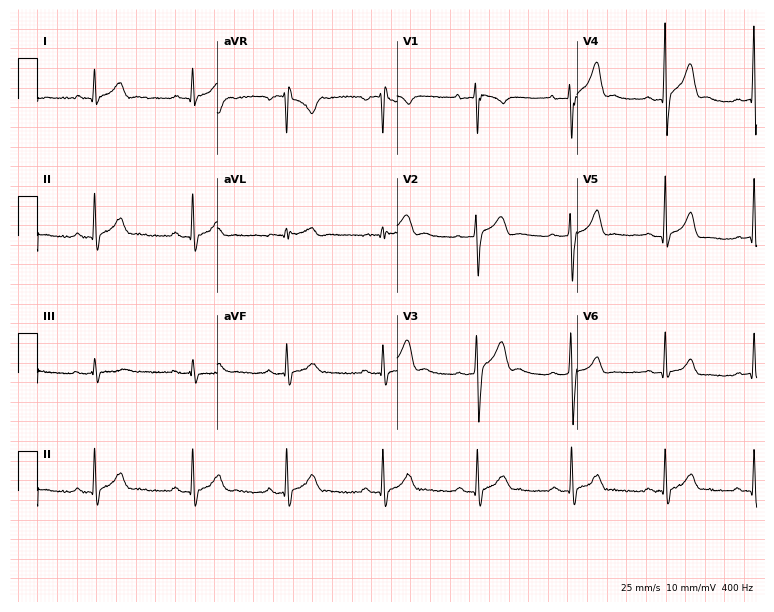
Electrocardiogram, a male, 24 years old. Of the six screened findings (first-degree AV block, right bundle branch block, left bundle branch block, sinus bradycardia, atrial fibrillation, sinus tachycardia), none is recorded. Only these six findings were labelled.